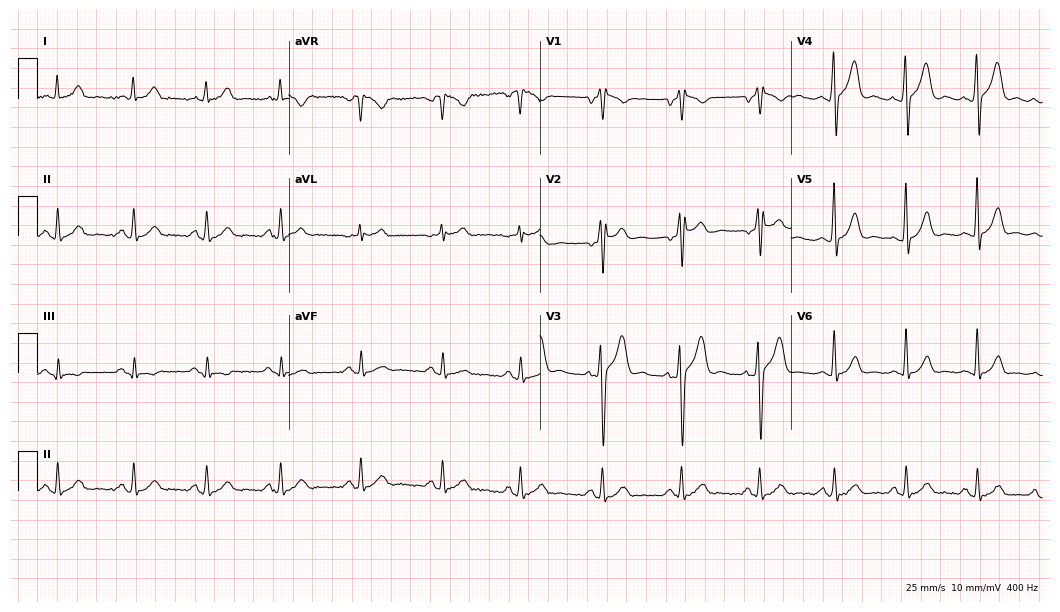
12-lead ECG (10.2-second recording at 400 Hz) from a man, 23 years old. Screened for six findings — first-degree AV block, right bundle branch block (RBBB), left bundle branch block (LBBB), sinus bradycardia, atrial fibrillation (AF), sinus tachycardia — none is recorded.